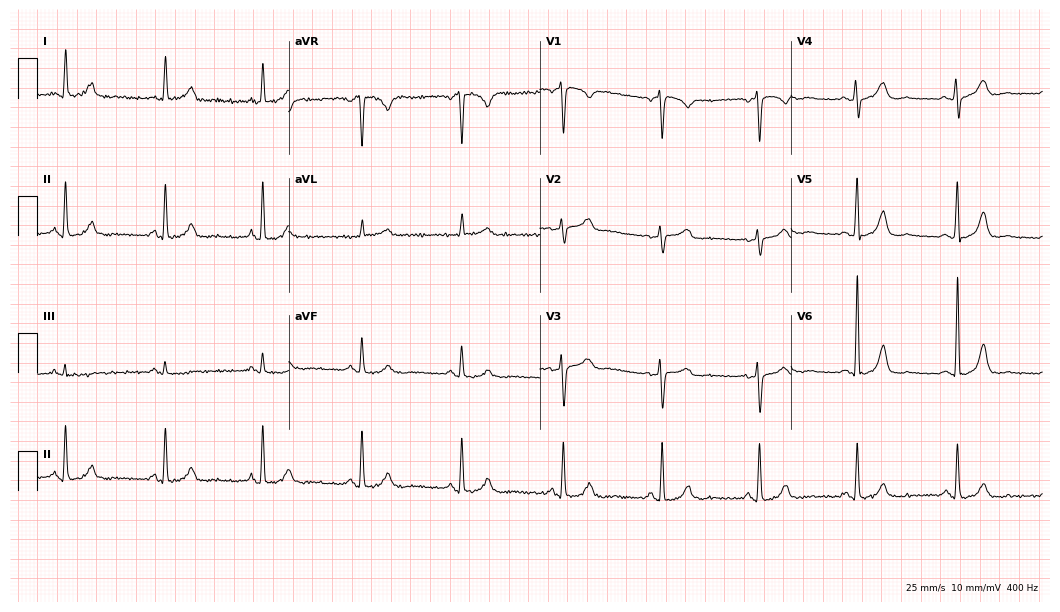
12-lead ECG from a 61-year-old female patient (10.2-second recording at 400 Hz). Recorded interpretation: within normal limits.